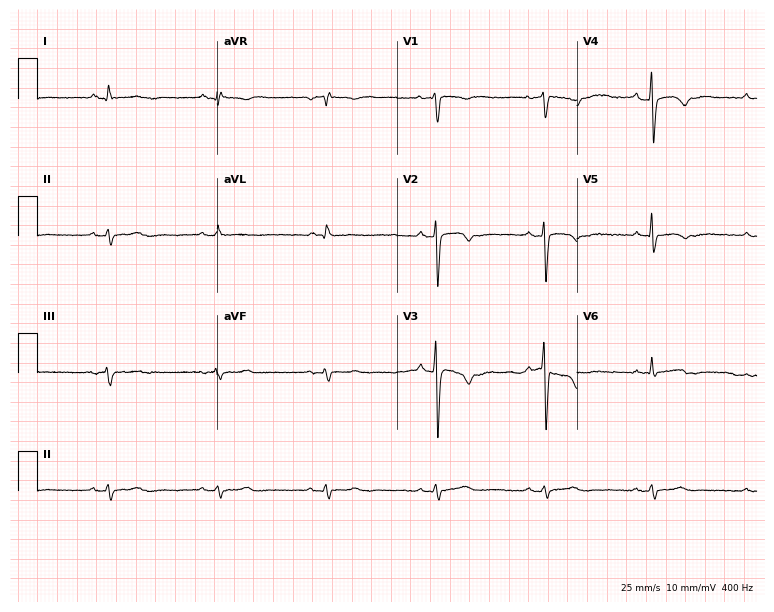
Electrocardiogram (7.3-second recording at 400 Hz), a man, 73 years old. Of the six screened findings (first-degree AV block, right bundle branch block (RBBB), left bundle branch block (LBBB), sinus bradycardia, atrial fibrillation (AF), sinus tachycardia), none is recorded. Only these six findings were labelled.